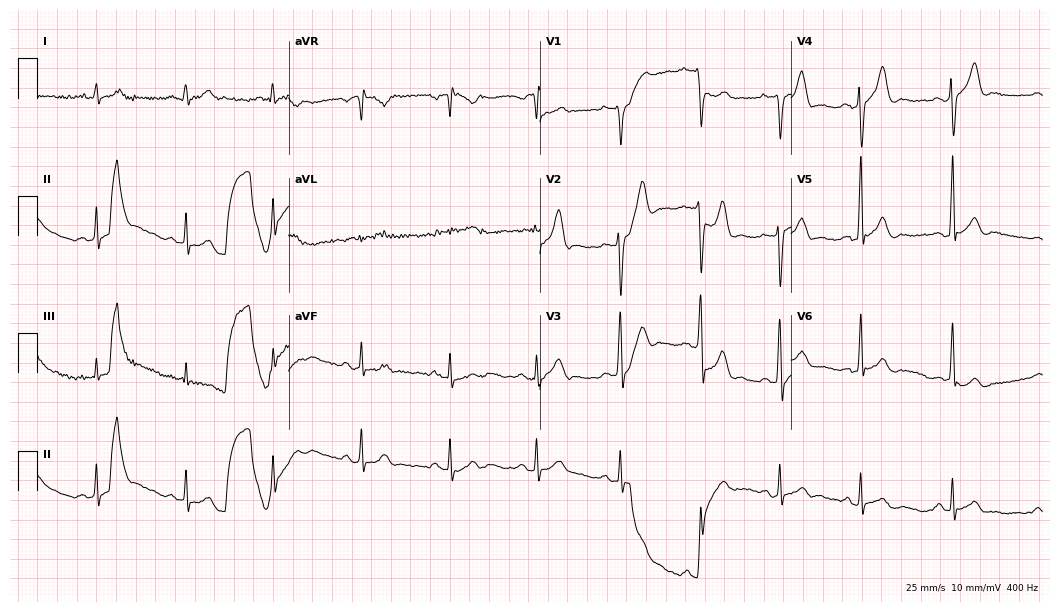
Resting 12-lead electrocardiogram (10.2-second recording at 400 Hz). Patient: a 24-year-old man. Read as a normal ECG.